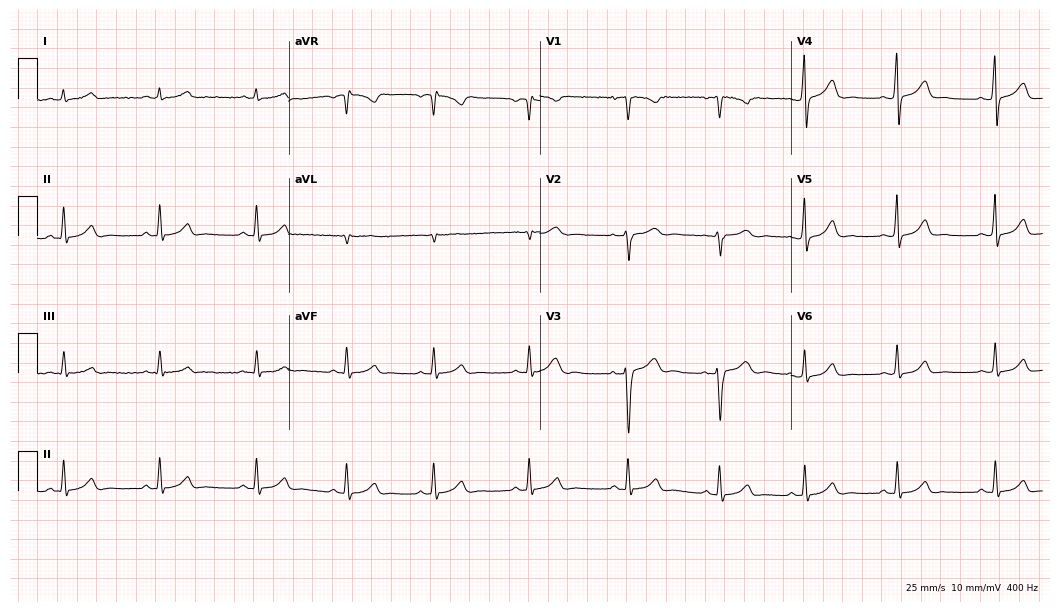
12-lead ECG from a female patient, 30 years old. Recorded interpretation: within normal limits.